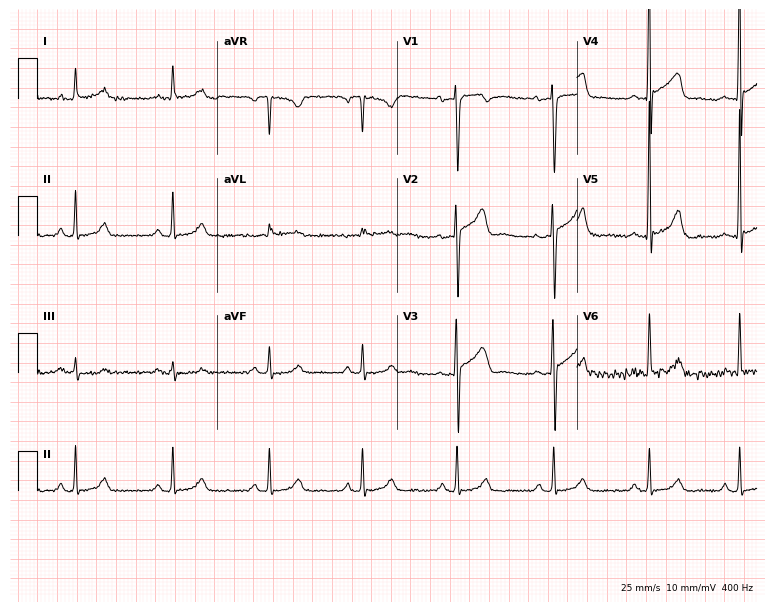
Electrocardiogram (7.3-second recording at 400 Hz), a 54-year-old male. Of the six screened findings (first-degree AV block, right bundle branch block (RBBB), left bundle branch block (LBBB), sinus bradycardia, atrial fibrillation (AF), sinus tachycardia), none is recorded.